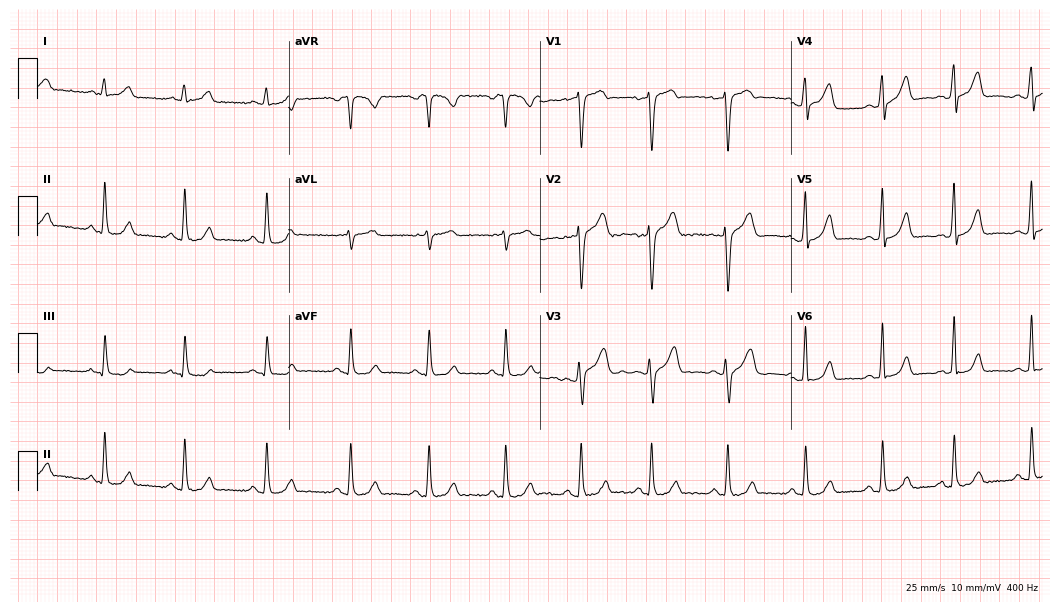
12-lead ECG from a female patient, 38 years old. Labelled as a normal ECG.